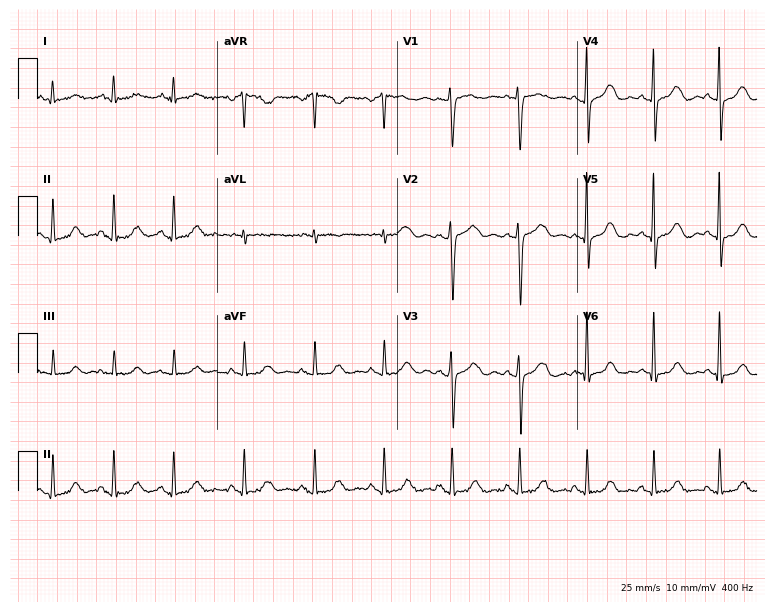
12-lead ECG from a woman, 52 years old. No first-degree AV block, right bundle branch block (RBBB), left bundle branch block (LBBB), sinus bradycardia, atrial fibrillation (AF) or sinus tachycardia recorded for this tracing.